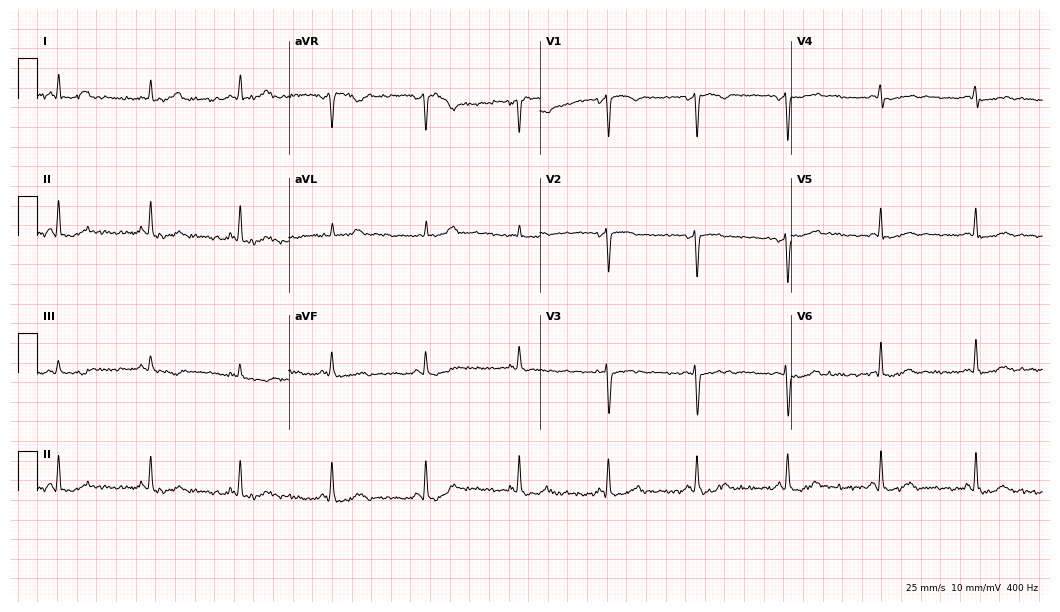
12-lead ECG (10.2-second recording at 400 Hz) from a 46-year-old woman. Screened for six findings — first-degree AV block, right bundle branch block, left bundle branch block, sinus bradycardia, atrial fibrillation, sinus tachycardia — none is recorded. Only these six findings were labelled.